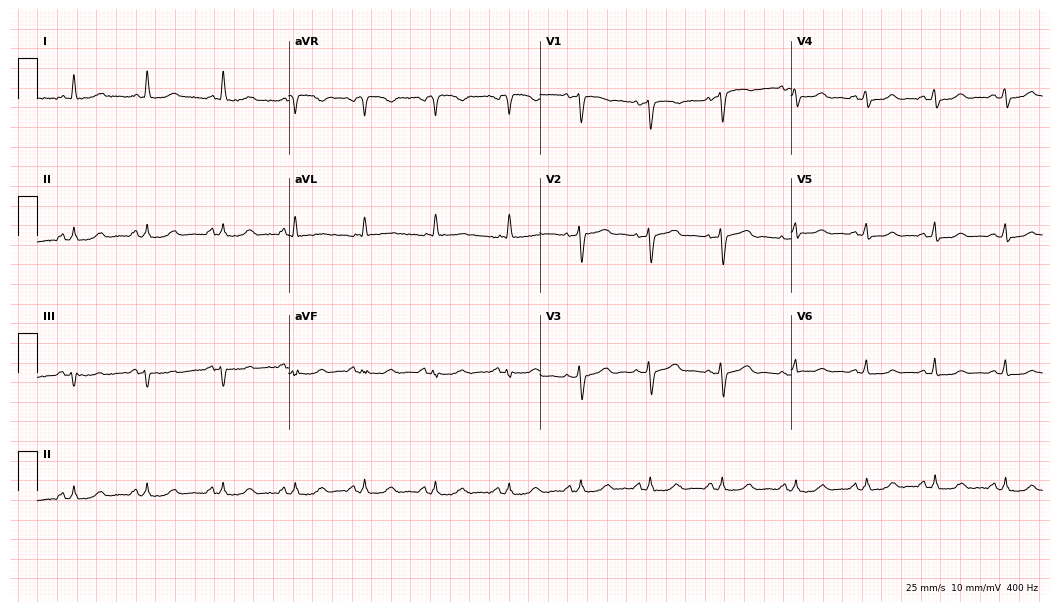
ECG — a 65-year-old woman. Labelled as a normal ECG.